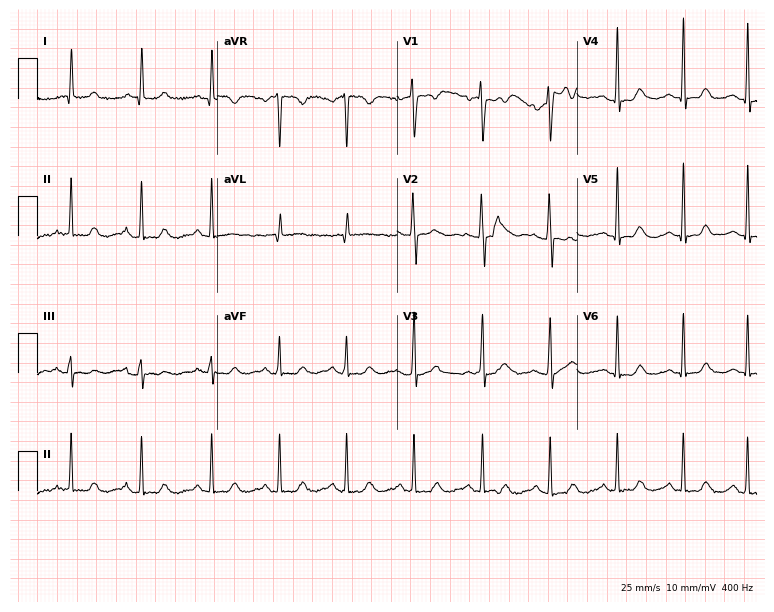
ECG — a female patient, 44 years old. Labelled as a normal ECG.